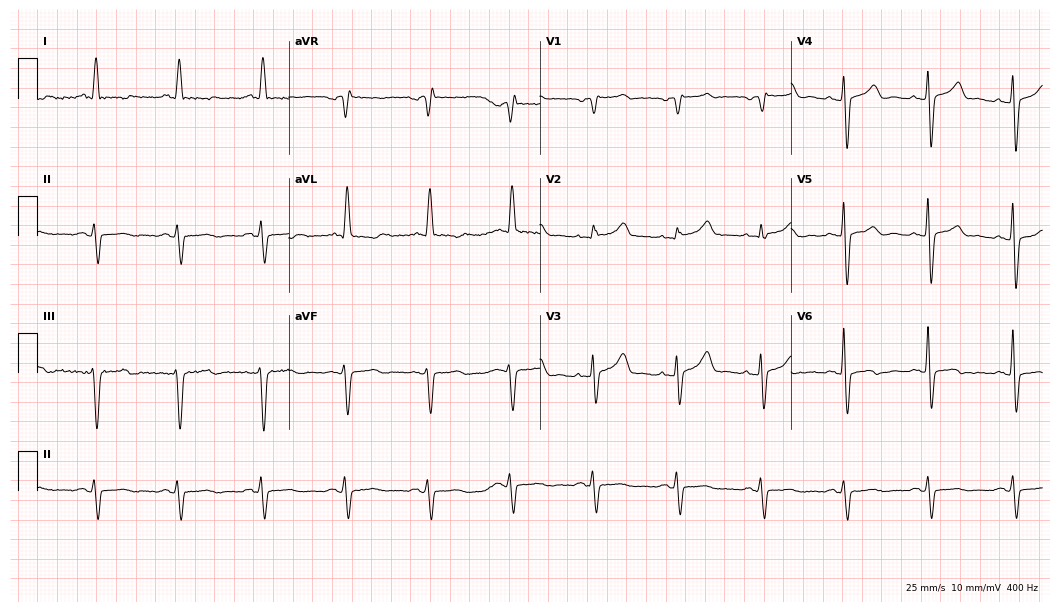
Electrocardiogram (10.2-second recording at 400 Hz), a male, 80 years old. Of the six screened findings (first-degree AV block, right bundle branch block, left bundle branch block, sinus bradycardia, atrial fibrillation, sinus tachycardia), none is recorded. Only these six findings were labelled.